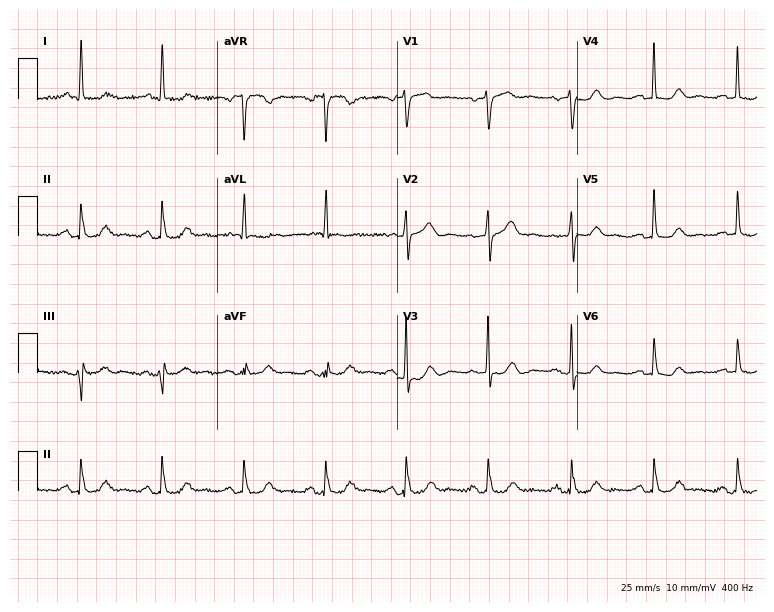
Standard 12-lead ECG recorded from a female, 67 years old. Read as a normal ECG.